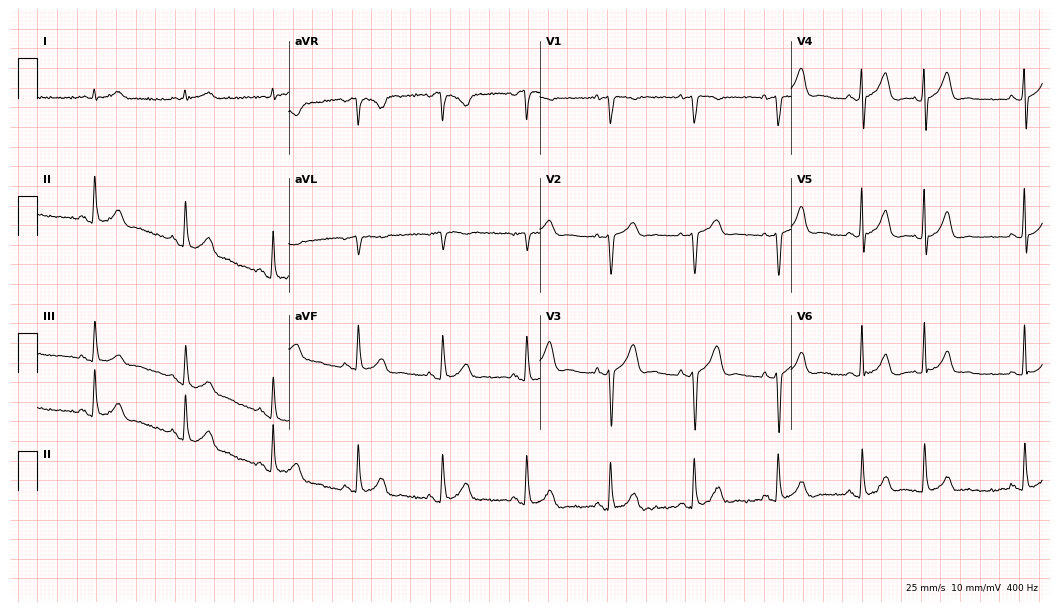
12-lead ECG from a man, 80 years old (10.2-second recording at 400 Hz). Recorded interpretation: within normal limits.